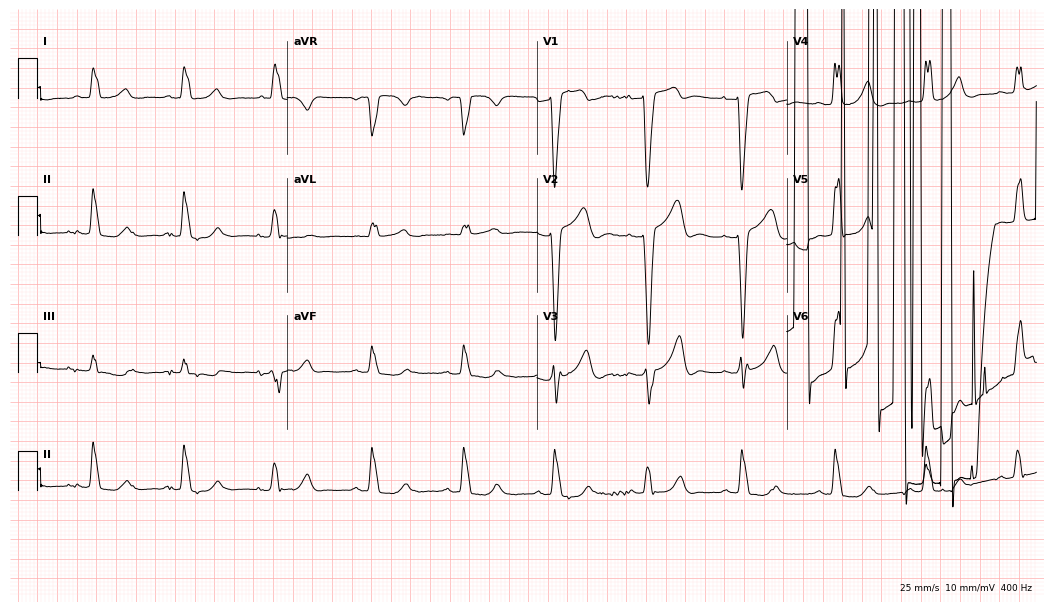
12-lead ECG from a 77-year-old female patient. Shows atrial fibrillation.